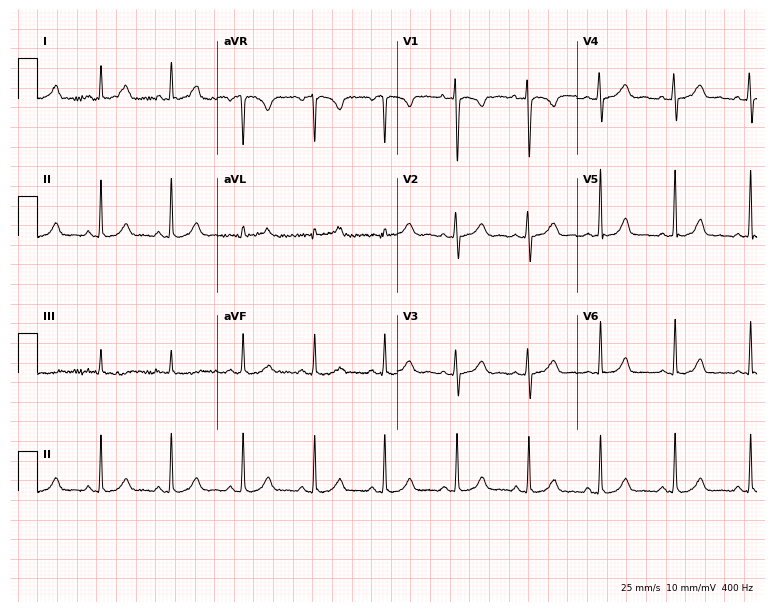
Electrocardiogram, a woman, 31 years old. Of the six screened findings (first-degree AV block, right bundle branch block (RBBB), left bundle branch block (LBBB), sinus bradycardia, atrial fibrillation (AF), sinus tachycardia), none is recorded. Findings outside these six are not listed.